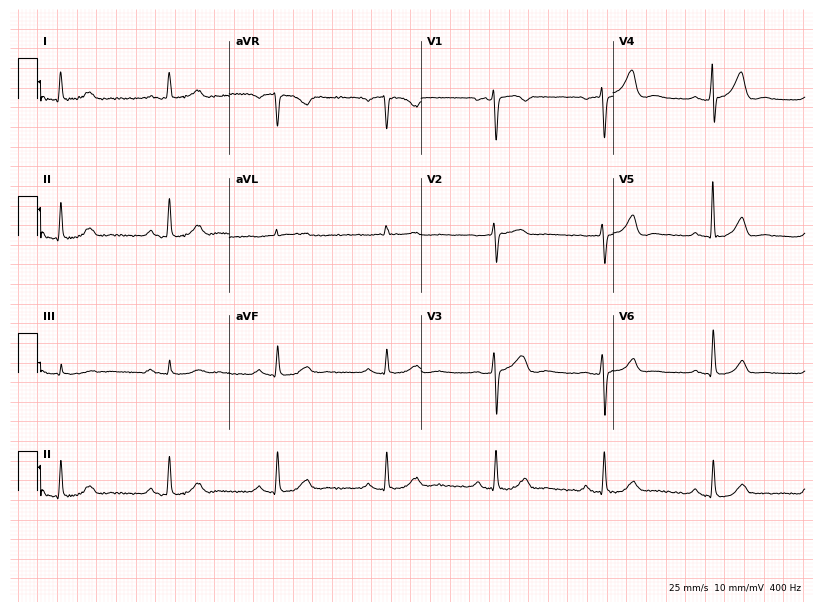
ECG — a female, 84 years old. Labelled as a normal ECG.